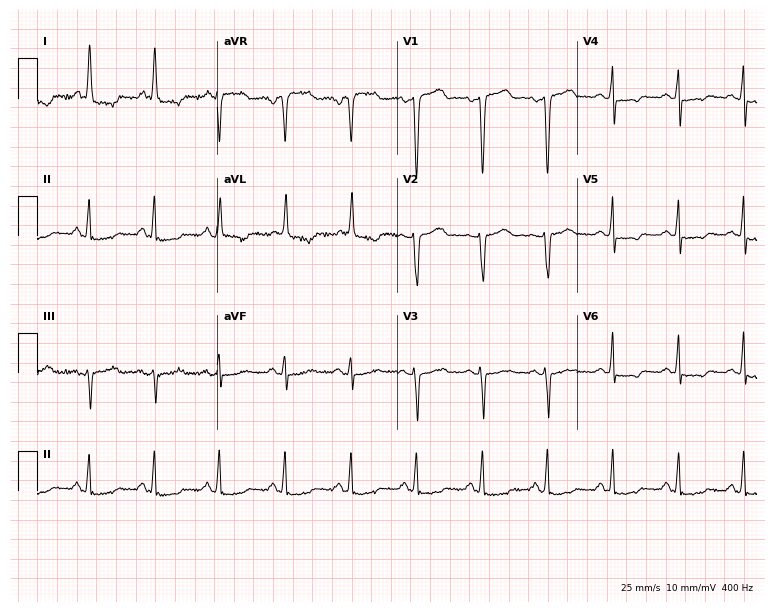
Standard 12-lead ECG recorded from a 68-year-old woman. None of these six findings is recorded: first-degree AV block, right bundle branch block, left bundle branch block, sinus bradycardia, atrial fibrillation, sinus tachycardia.